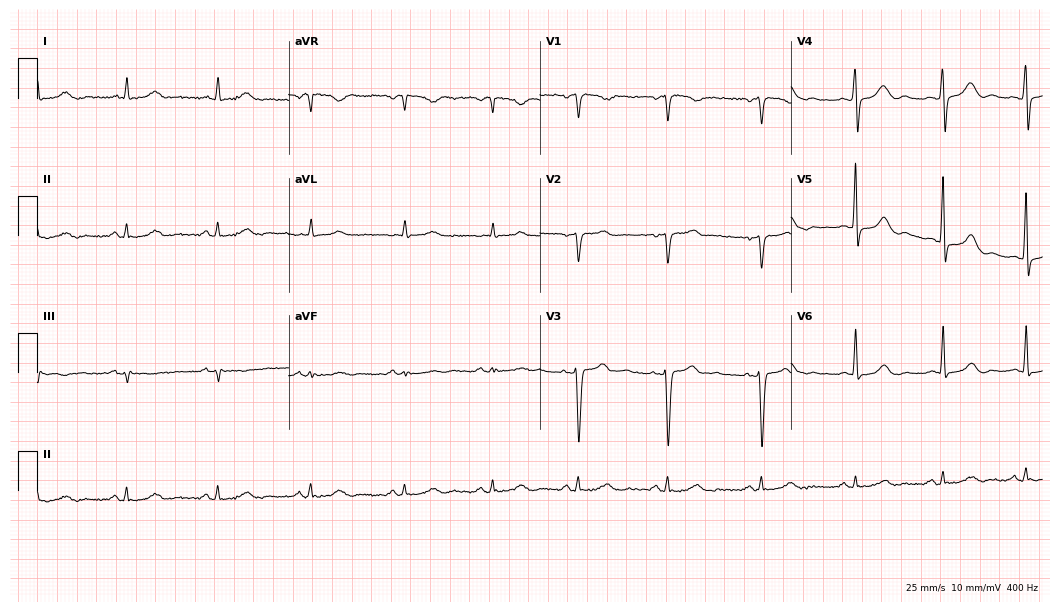
ECG — a 41-year-old female. Screened for six findings — first-degree AV block, right bundle branch block, left bundle branch block, sinus bradycardia, atrial fibrillation, sinus tachycardia — none is recorded. Other findings, if any, are not listed.